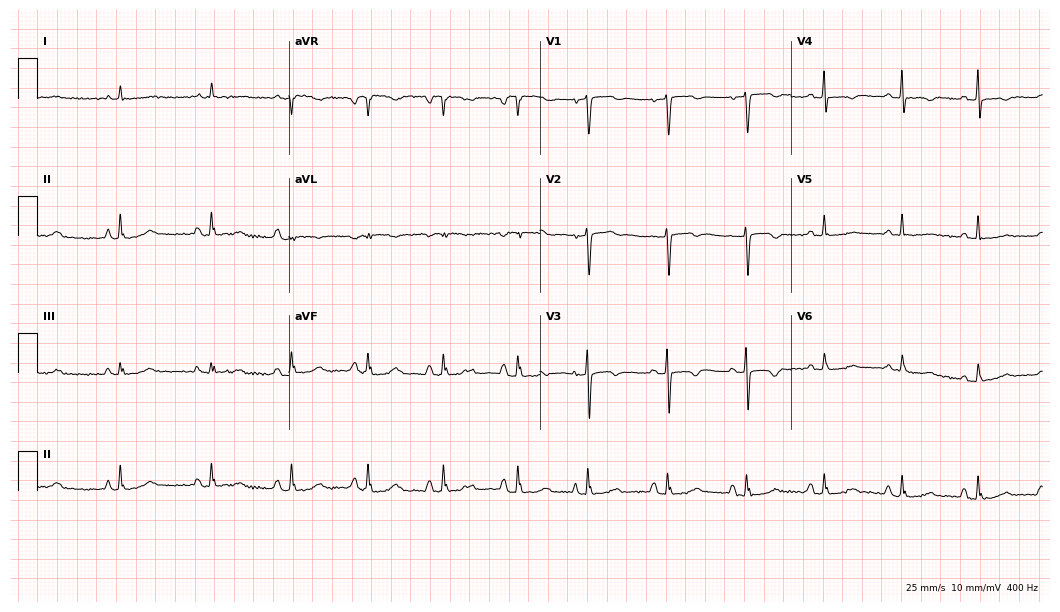
Standard 12-lead ECG recorded from a 63-year-old woman. None of these six findings is recorded: first-degree AV block, right bundle branch block, left bundle branch block, sinus bradycardia, atrial fibrillation, sinus tachycardia.